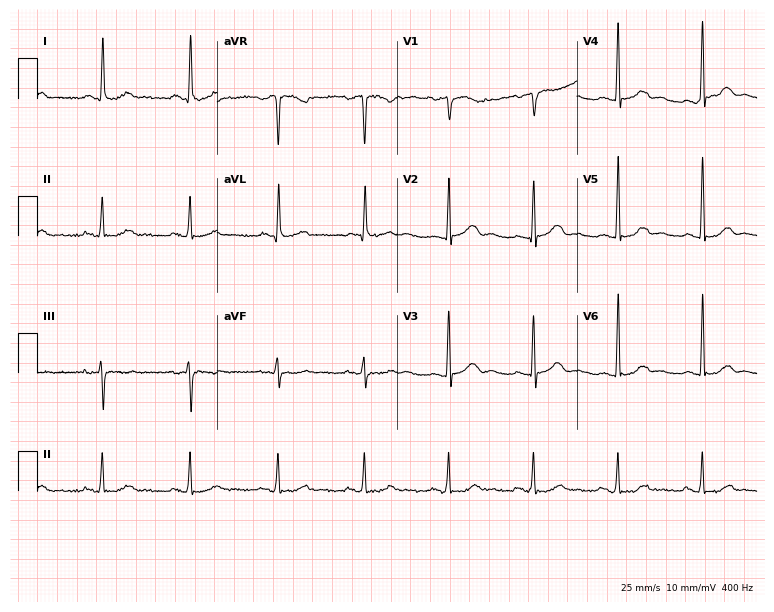
ECG — a female, 62 years old. Screened for six findings — first-degree AV block, right bundle branch block (RBBB), left bundle branch block (LBBB), sinus bradycardia, atrial fibrillation (AF), sinus tachycardia — none is recorded.